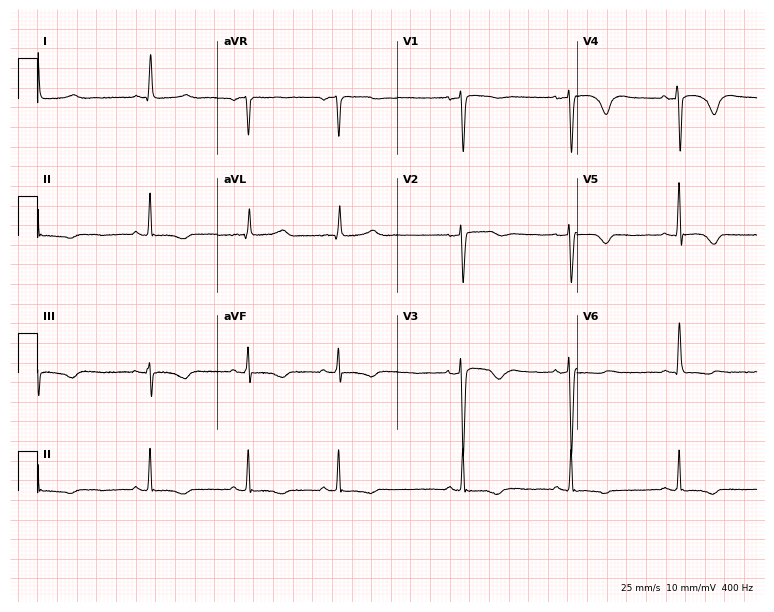
12-lead ECG from a woman, 26 years old. Recorded interpretation: within normal limits.